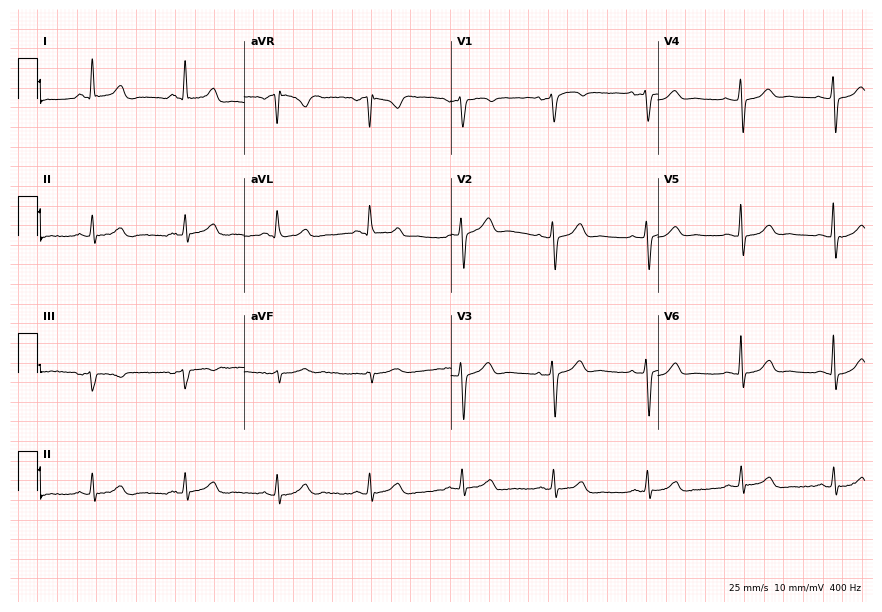
Resting 12-lead electrocardiogram. Patient: a 70-year-old female. Read as a normal ECG.